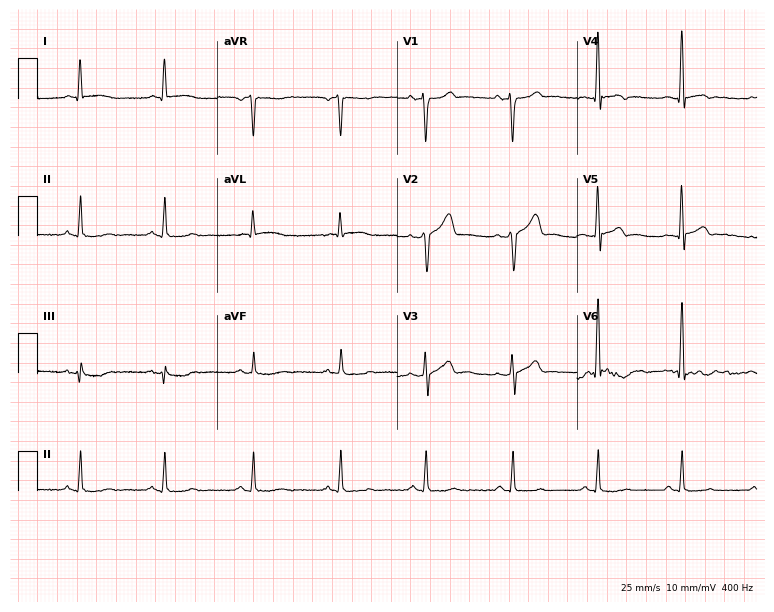
12-lead ECG from a 52-year-old male patient. Screened for six findings — first-degree AV block, right bundle branch block, left bundle branch block, sinus bradycardia, atrial fibrillation, sinus tachycardia — none is recorded.